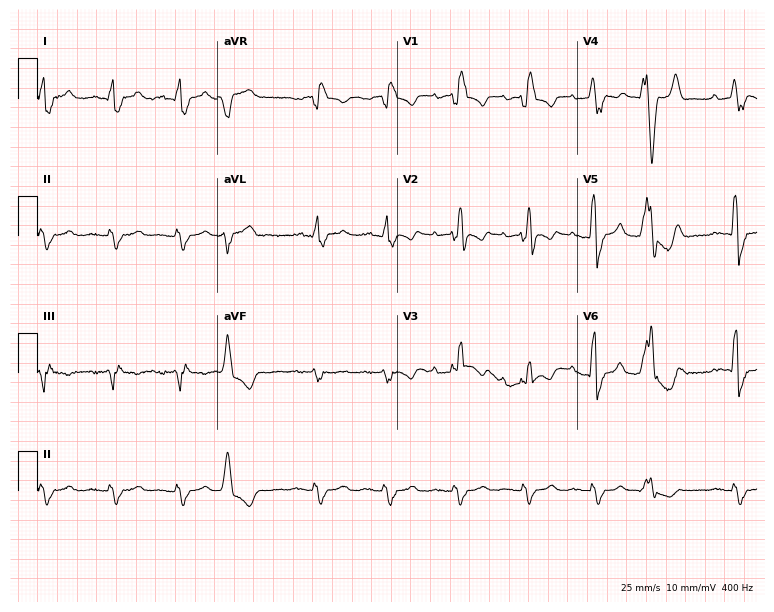
12-lead ECG from a 65-year-old male (7.3-second recording at 400 Hz). Shows first-degree AV block, right bundle branch block.